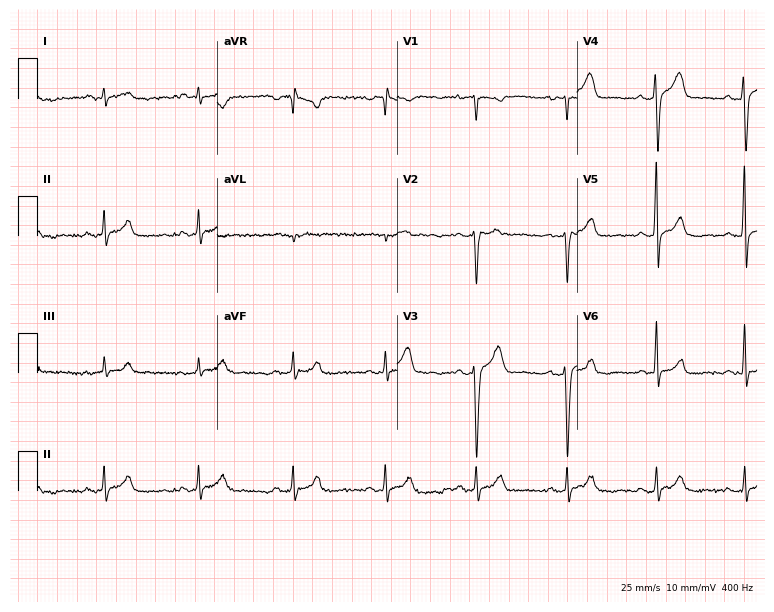
12-lead ECG from a man, 45 years old (7.3-second recording at 400 Hz). No first-degree AV block, right bundle branch block, left bundle branch block, sinus bradycardia, atrial fibrillation or sinus tachycardia recorded for this tracing. Other findings, if any, are not listed.